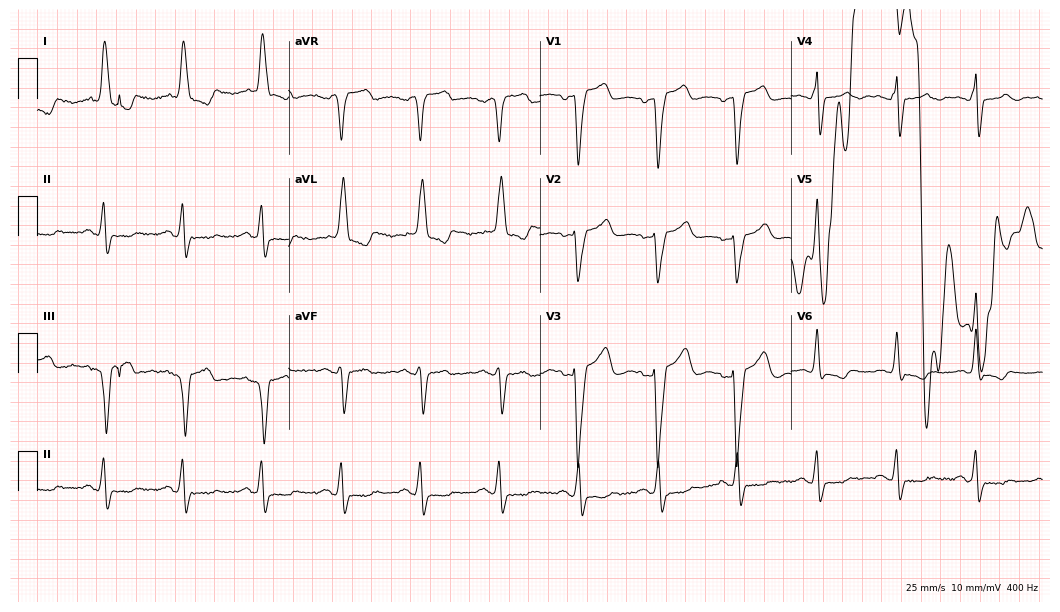
Resting 12-lead electrocardiogram. Patient: a woman, 75 years old. The tracing shows left bundle branch block.